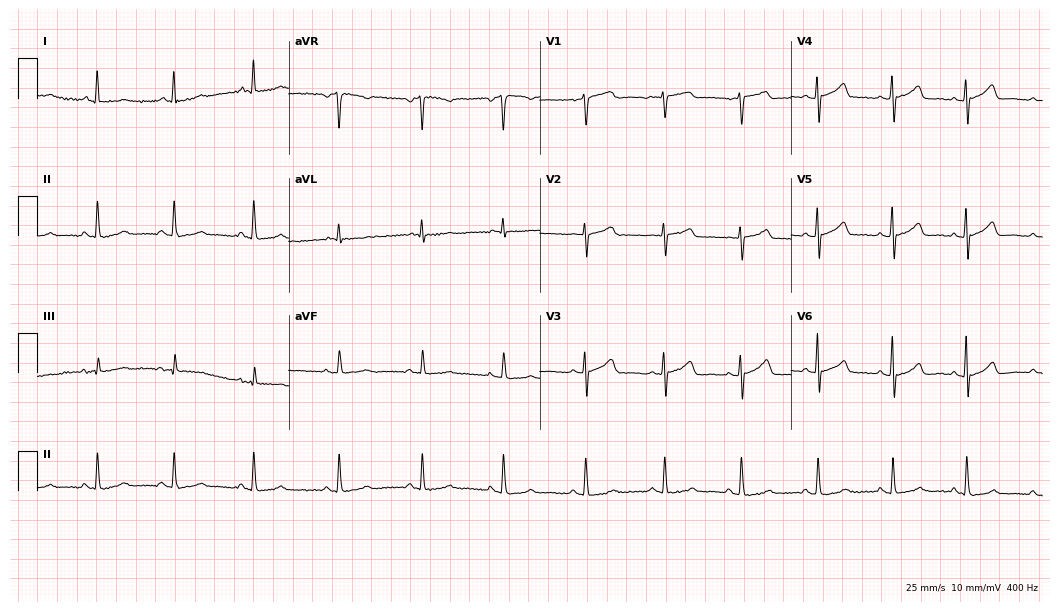
Standard 12-lead ECG recorded from a 65-year-old woman. None of these six findings is recorded: first-degree AV block, right bundle branch block, left bundle branch block, sinus bradycardia, atrial fibrillation, sinus tachycardia.